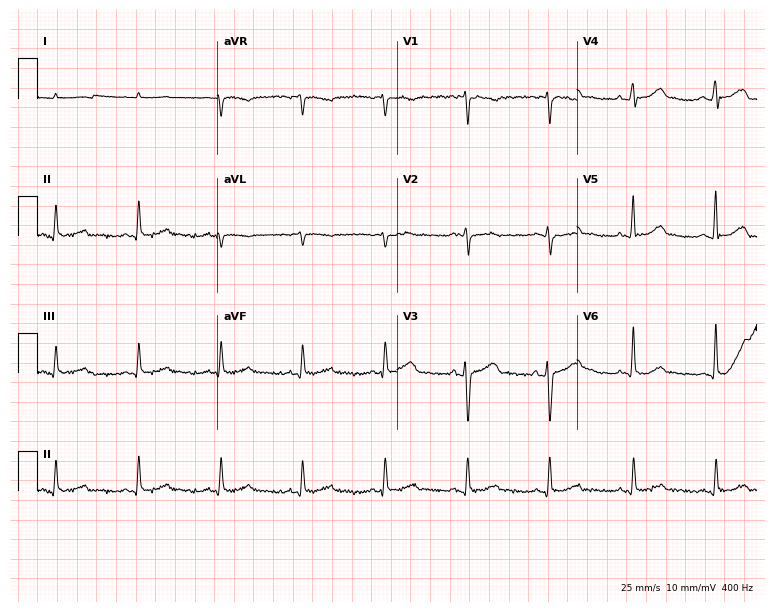
ECG (7.3-second recording at 400 Hz) — a 45-year-old female. Labelled as a normal ECG.